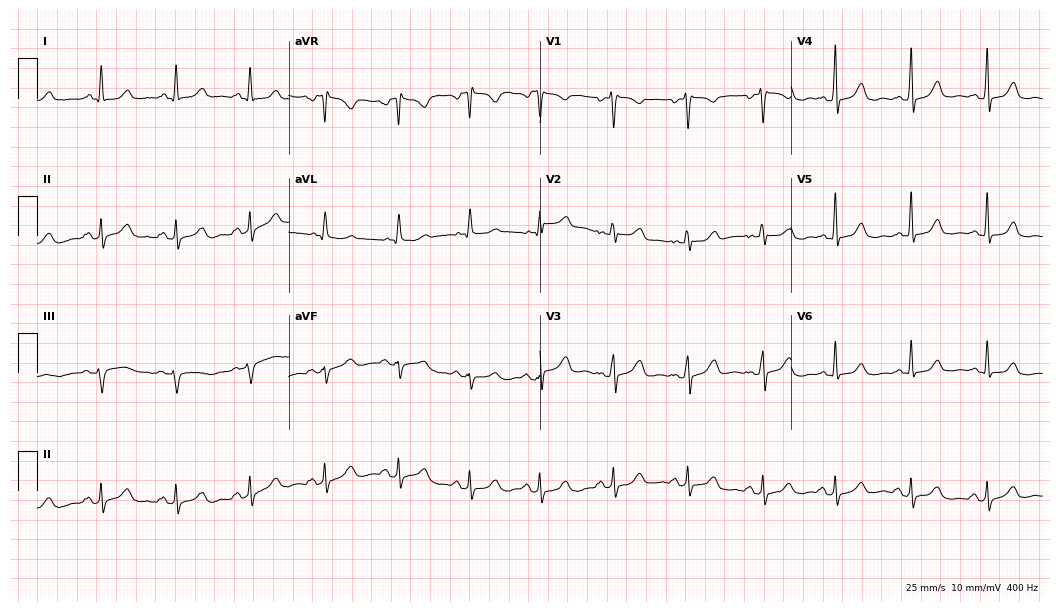
12-lead ECG (10.2-second recording at 400 Hz) from a female, 49 years old. Labelled as a normal ECG.